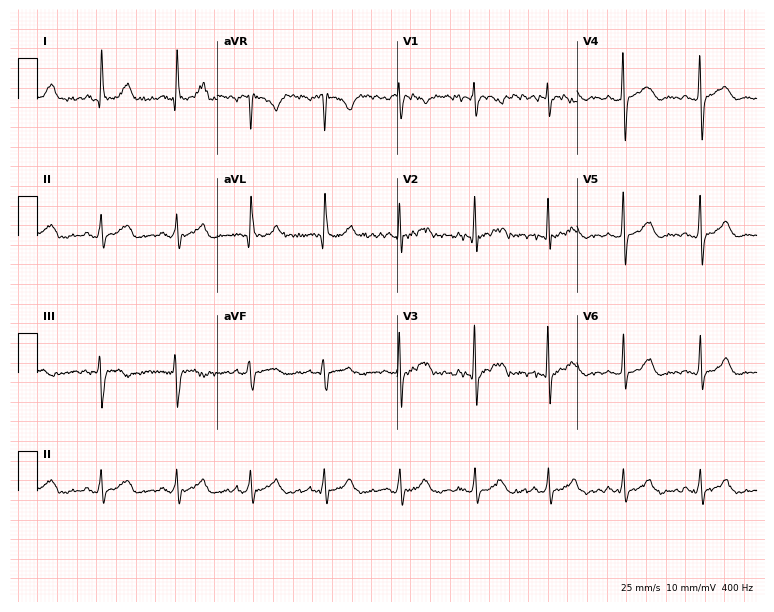
Electrocardiogram, a woman, 32 years old. Overall reading on record: normal ECG.